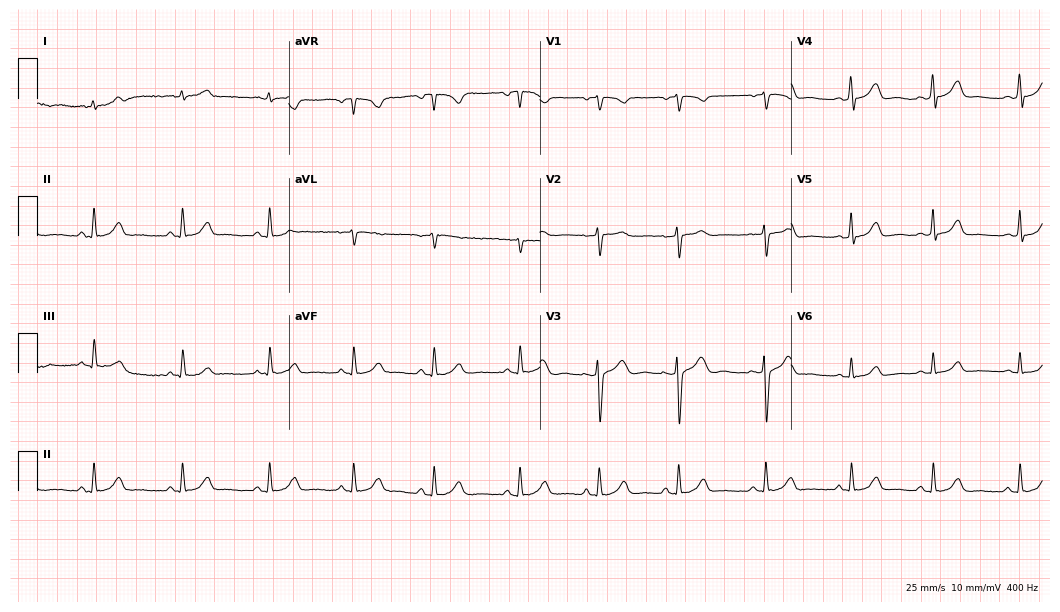
Electrocardiogram (10.2-second recording at 400 Hz), a female, 32 years old. Overall reading on record: normal ECG.